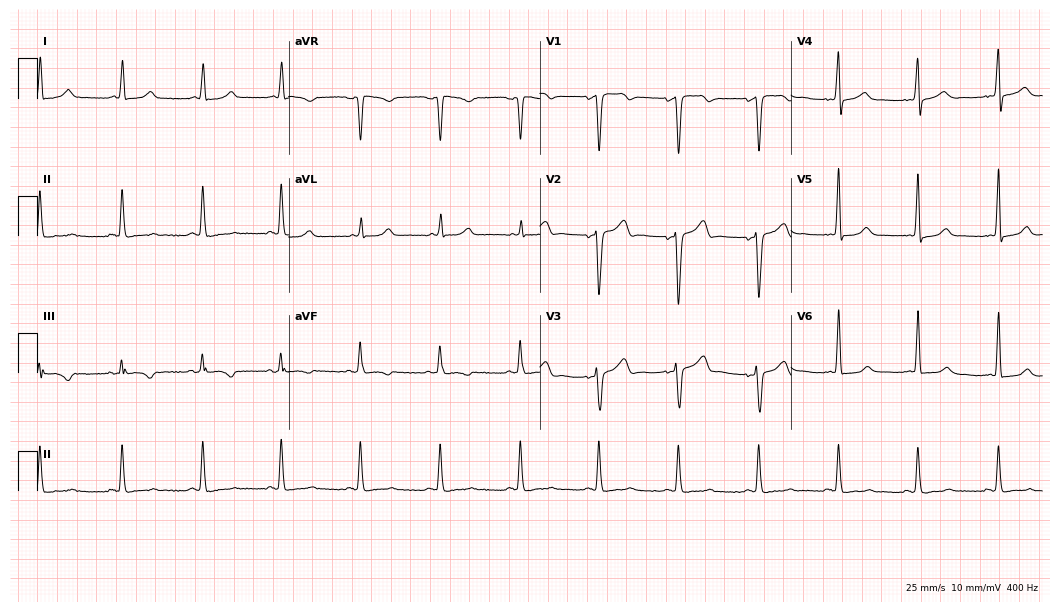
ECG — a 53-year-old woman. Screened for six findings — first-degree AV block, right bundle branch block, left bundle branch block, sinus bradycardia, atrial fibrillation, sinus tachycardia — none is recorded.